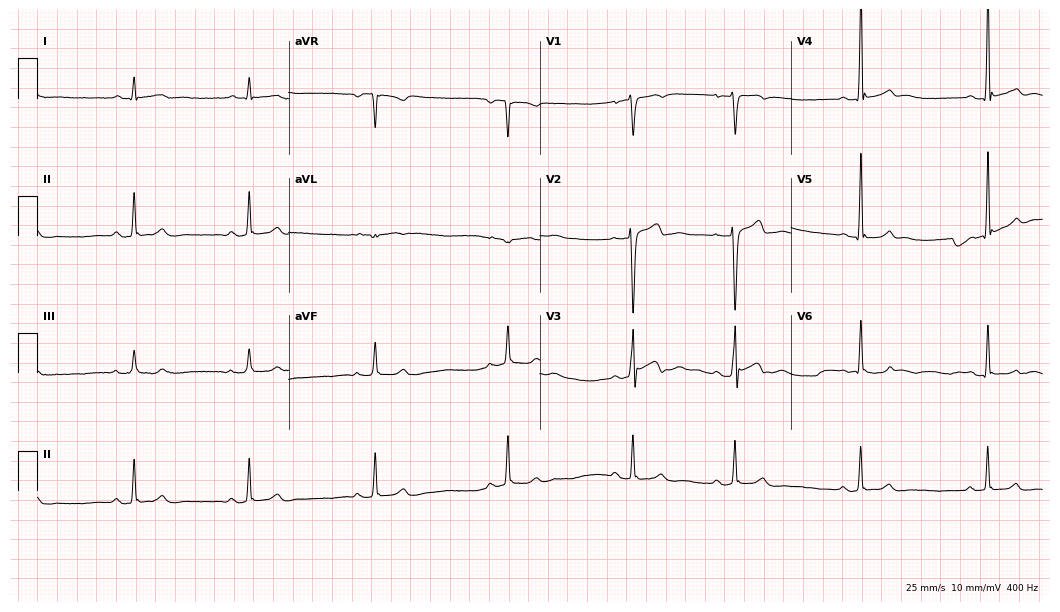
Resting 12-lead electrocardiogram. Patient: a male, 20 years old. Read as a normal ECG.